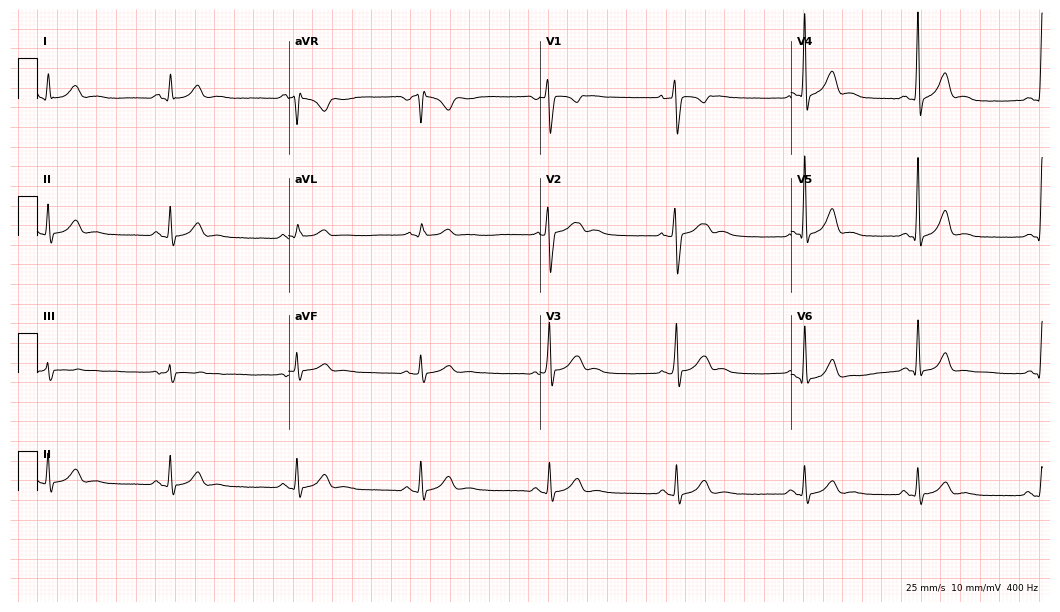
12-lead ECG from an 18-year-old male (10.2-second recording at 400 Hz). No first-degree AV block, right bundle branch block (RBBB), left bundle branch block (LBBB), sinus bradycardia, atrial fibrillation (AF) or sinus tachycardia recorded for this tracing.